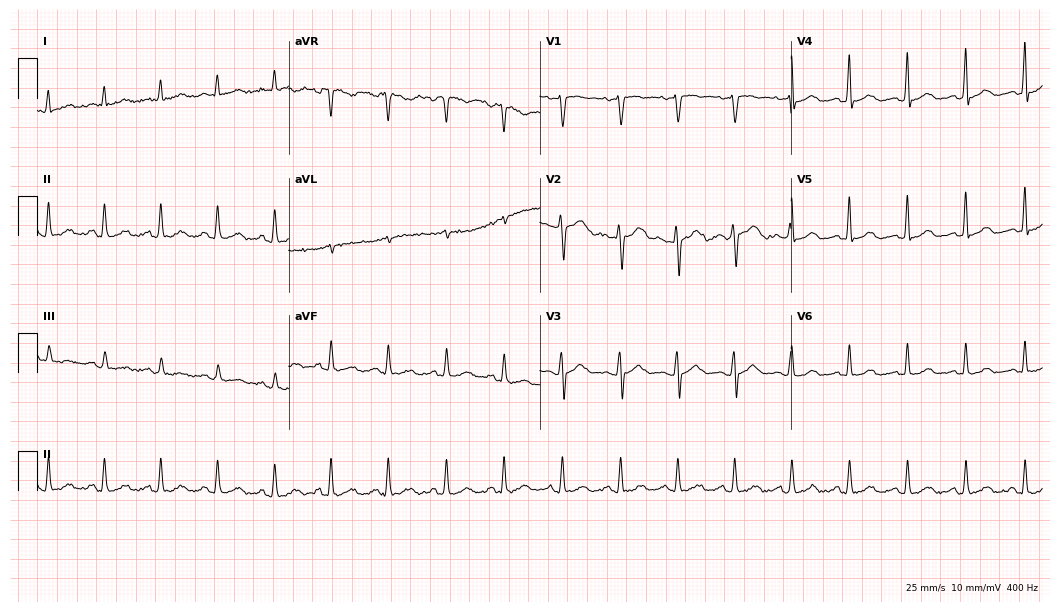
12-lead ECG from a 51-year-old woman. Findings include sinus tachycardia (a sinus rate of 100 beats per minute or more).